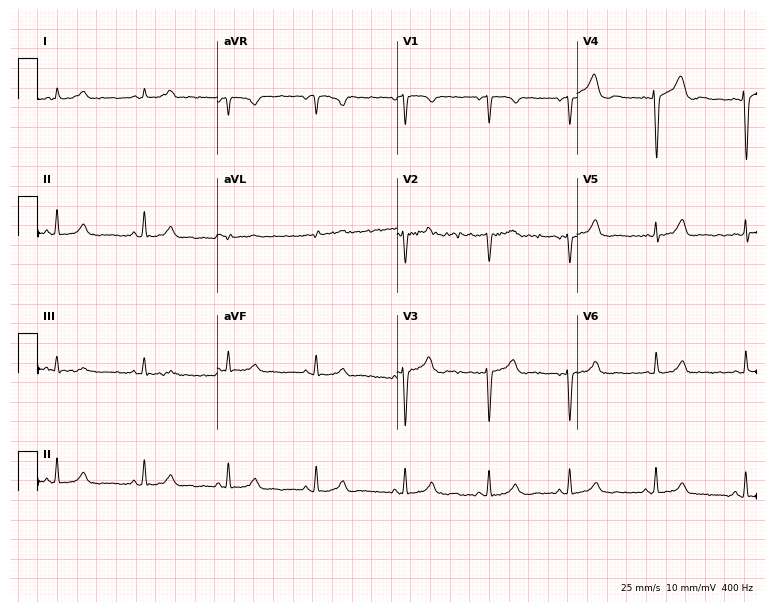
Electrocardiogram, a female patient, 40 years old. Of the six screened findings (first-degree AV block, right bundle branch block, left bundle branch block, sinus bradycardia, atrial fibrillation, sinus tachycardia), none is recorded. Other findings, if any, are not listed.